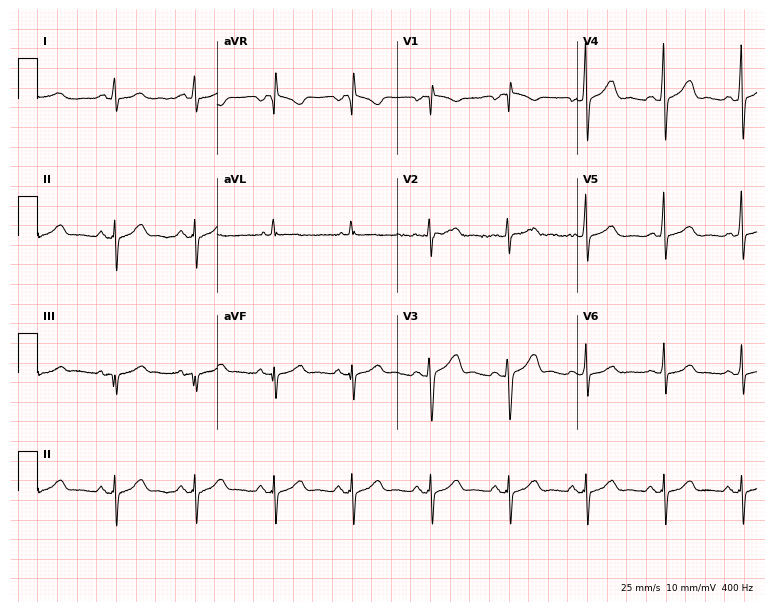
ECG — a 40-year-old female patient. Screened for six findings — first-degree AV block, right bundle branch block (RBBB), left bundle branch block (LBBB), sinus bradycardia, atrial fibrillation (AF), sinus tachycardia — none is recorded. Only these six findings were labelled.